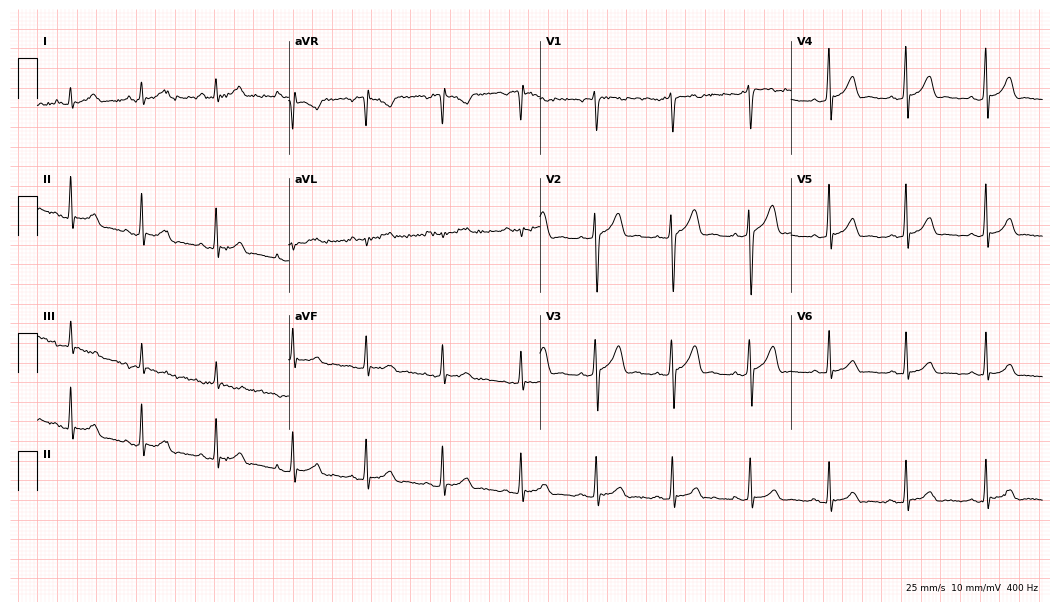
Resting 12-lead electrocardiogram (10.2-second recording at 400 Hz). Patient: a 24-year-old male. Read as a normal ECG.